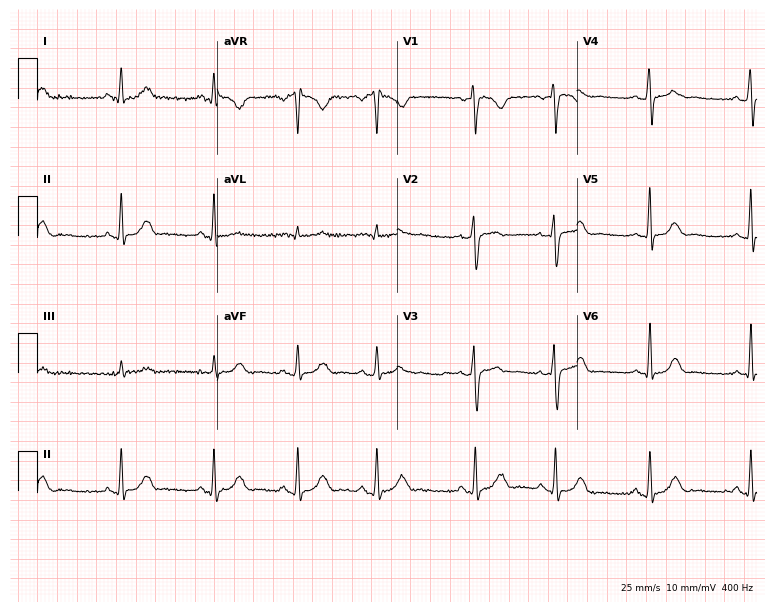
12-lead ECG from a woman, 17 years old (7.3-second recording at 400 Hz). Recorded interpretation: within normal limits.